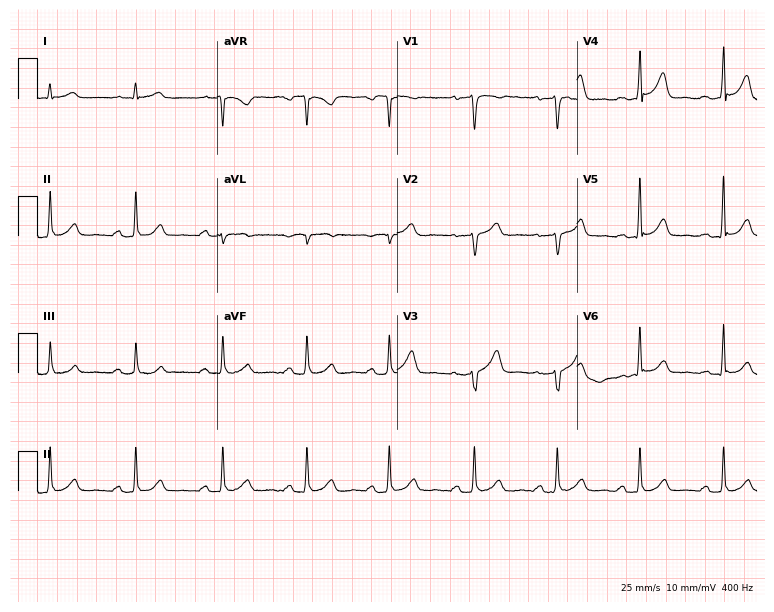
ECG (7.3-second recording at 400 Hz) — a male, 59 years old. Screened for six findings — first-degree AV block, right bundle branch block (RBBB), left bundle branch block (LBBB), sinus bradycardia, atrial fibrillation (AF), sinus tachycardia — none is recorded.